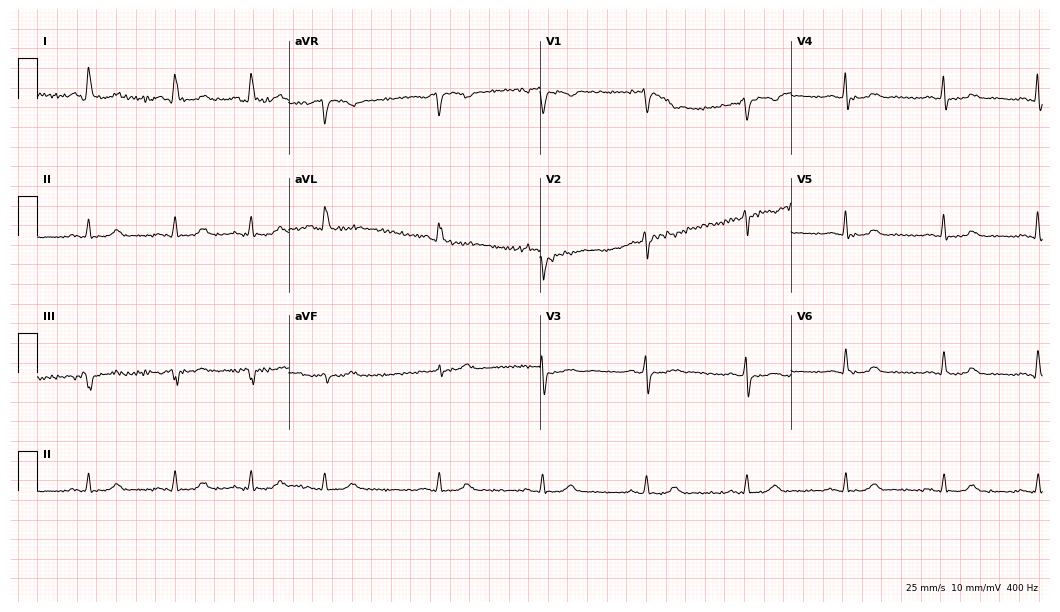
Resting 12-lead electrocardiogram. Patient: a female, 71 years old. None of these six findings is recorded: first-degree AV block, right bundle branch block, left bundle branch block, sinus bradycardia, atrial fibrillation, sinus tachycardia. Other findings, if any, are not listed.